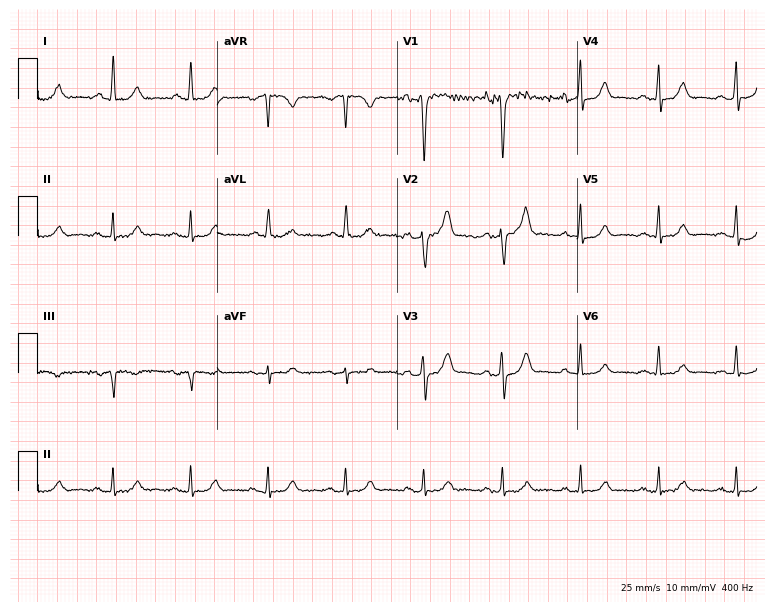
Electrocardiogram, a man, 70 years old. Of the six screened findings (first-degree AV block, right bundle branch block (RBBB), left bundle branch block (LBBB), sinus bradycardia, atrial fibrillation (AF), sinus tachycardia), none is recorded.